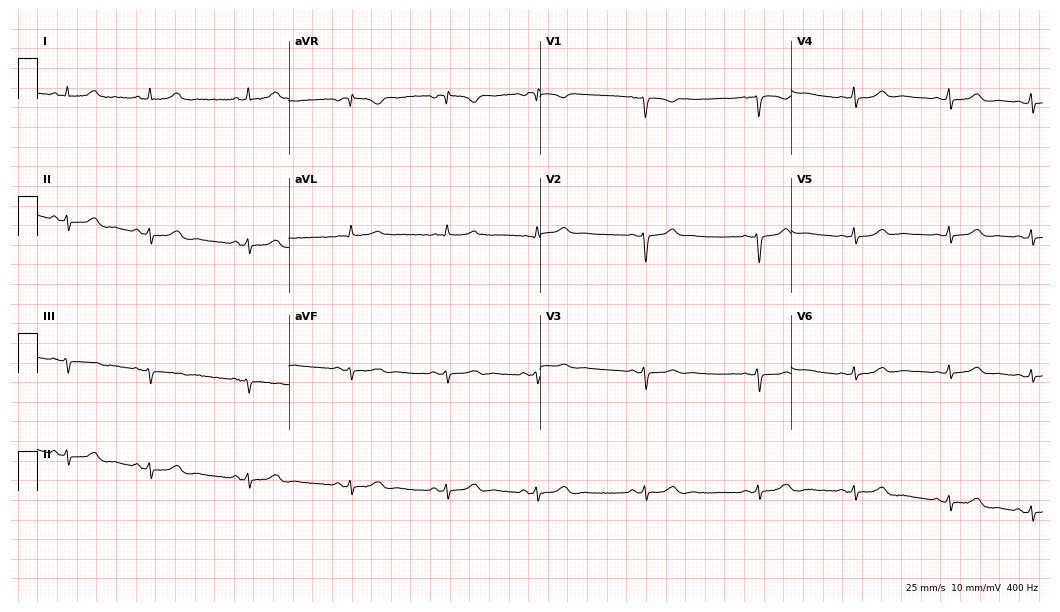
ECG — a female patient, 41 years old. Screened for six findings — first-degree AV block, right bundle branch block, left bundle branch block, sinus bradycardia, atrial fibrillation, sinus tachycardia — none is recorded. Other findings, if any, are not listed.